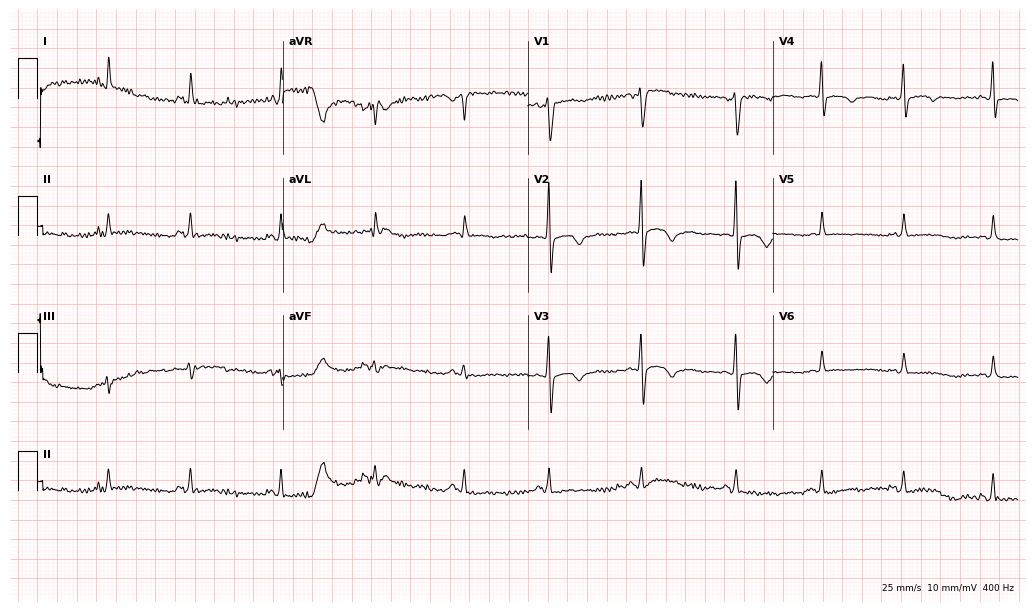
ECG (10-second recording at 400 Hz) — an 81-year-old female. Labelled as a normal ECG.